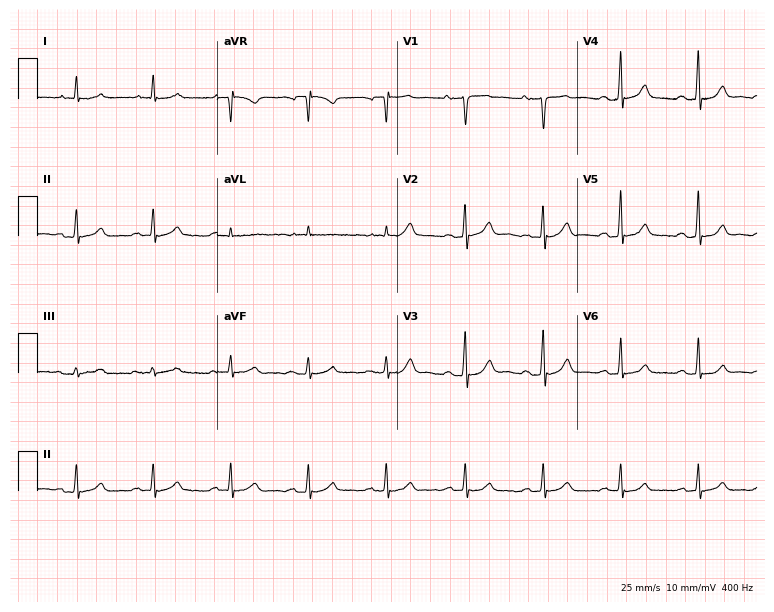
Electrocardiogram (7.3-second recording at 400 Hz), a male patient, 72 years old. Of the six screened findings (first-degree AV block, right bundle branch block (RBBB), left bundle branch block (LBBB), sinus bradycardia, atrial fibrillation (AF), sinus tachycardia), none is recorded.